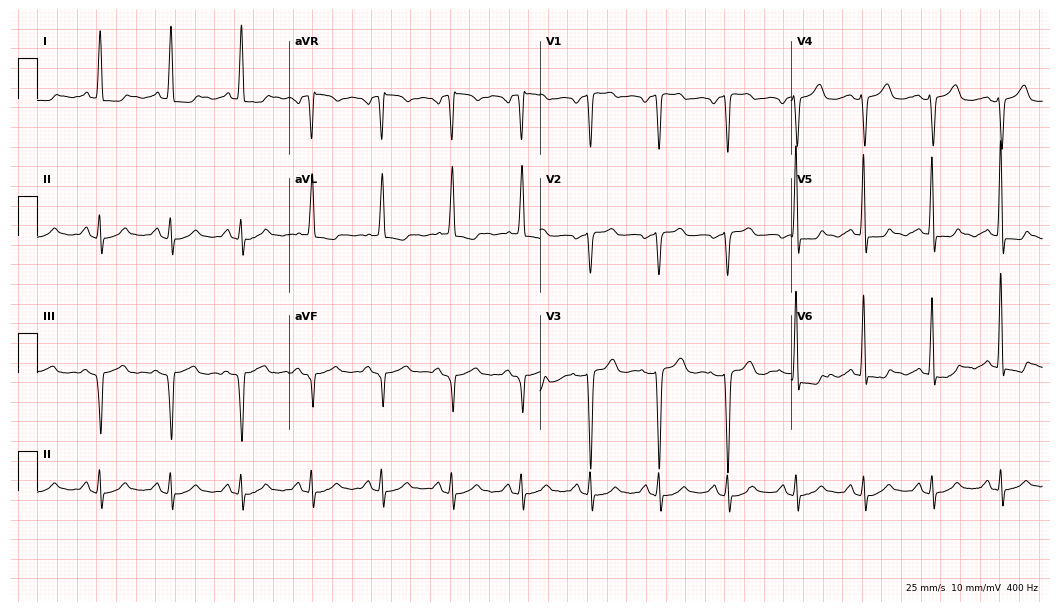
Electrocardiogram, a female patient, 55 years old. Of the six screened findings (first-degree AV block, right bundle branch block (RBBB), left bundle branch block (LBBB), sinus bradycardia, atrial fibrillation (AF), sinus tachycardia), none is recorded. Findings outside these six are not listed.